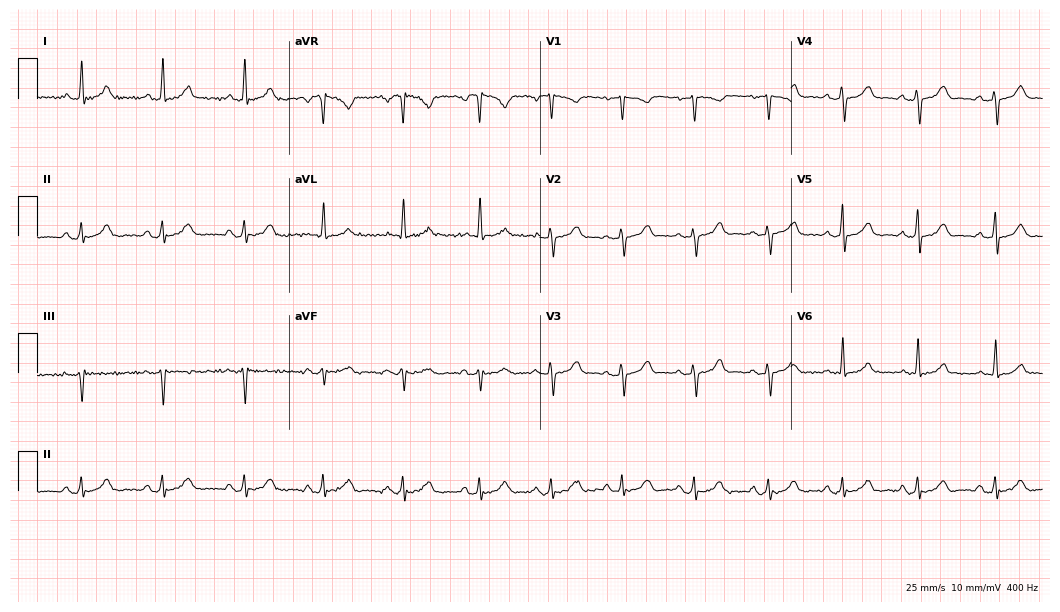
Standard 12-lead ECG recorded from a female, 45 years old. None of these six findings is recorded: first-degree AV block, right bundle branch block (RBBB), left bundle branch block (LBBB), sinus bradycardia, atrial fibrillation (AF), sinus tachycardia.